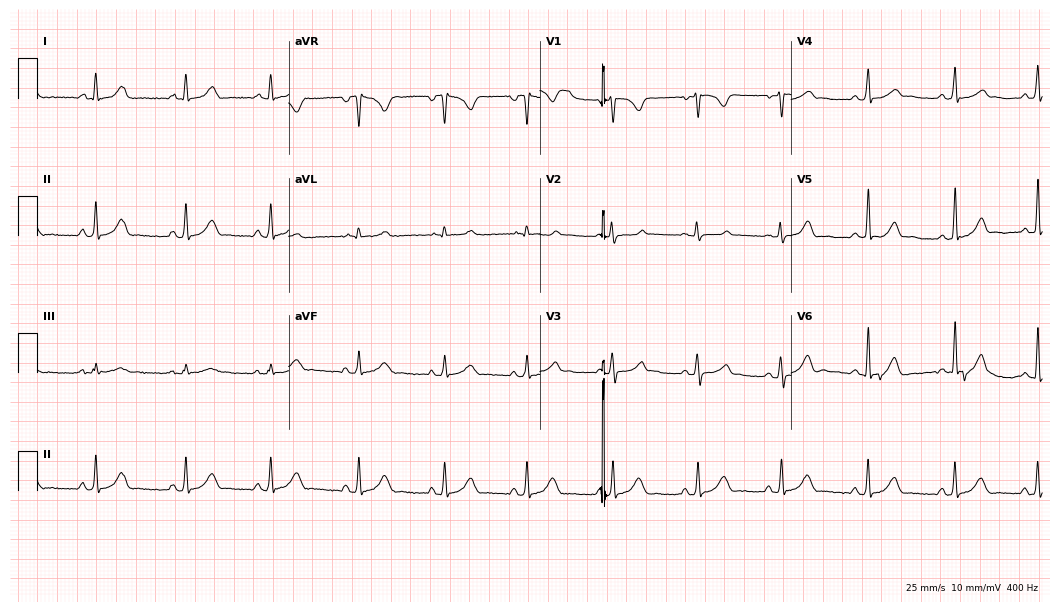
12-lead ECG from a female, 23 years old. Labelled as a normal ECG.